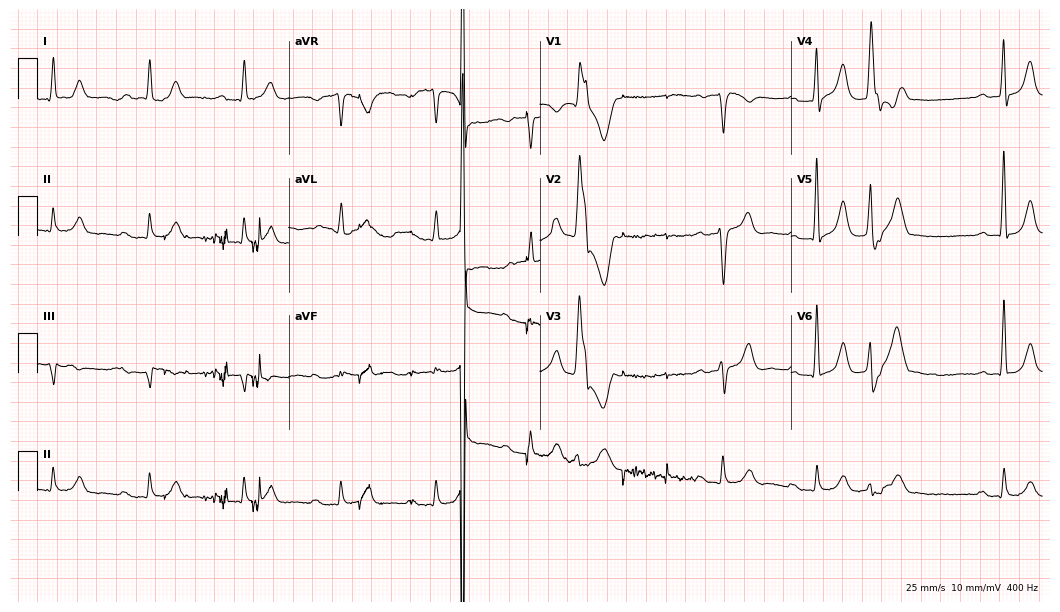
Resting 12-lead electrocardiogram (10.2-second recording at 400 Hz). Patient: a male, 81 years old. Read as a normal ECG.